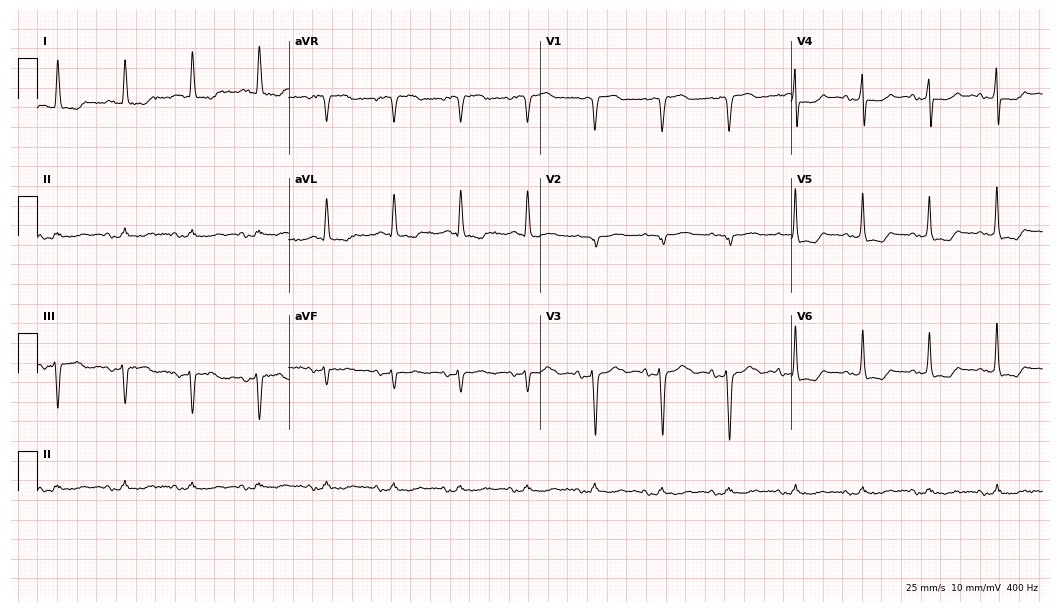
12-lead ECG from a female, 87 years old (10.2-second recording at 400 Hz). Recorded interpretation: within normal limits.